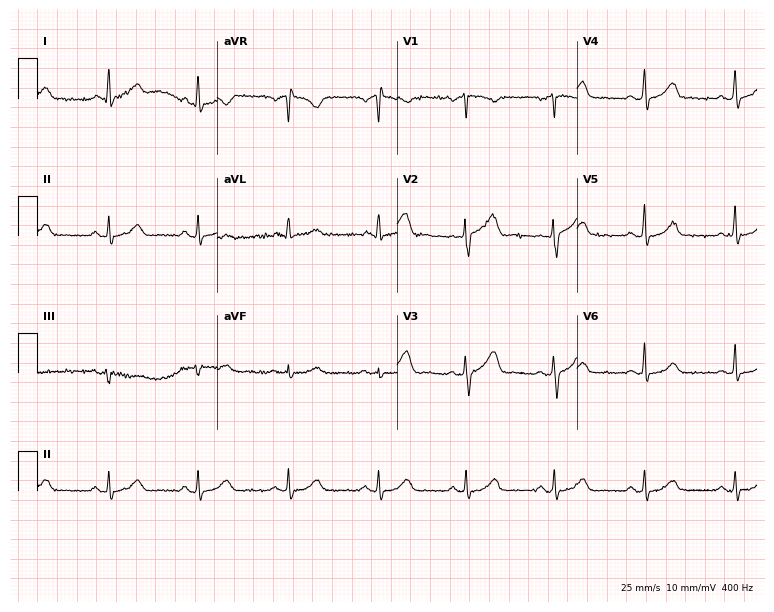
12-lead ECG from a 45-year-old woman. Recorded interpretation: within normal limits.